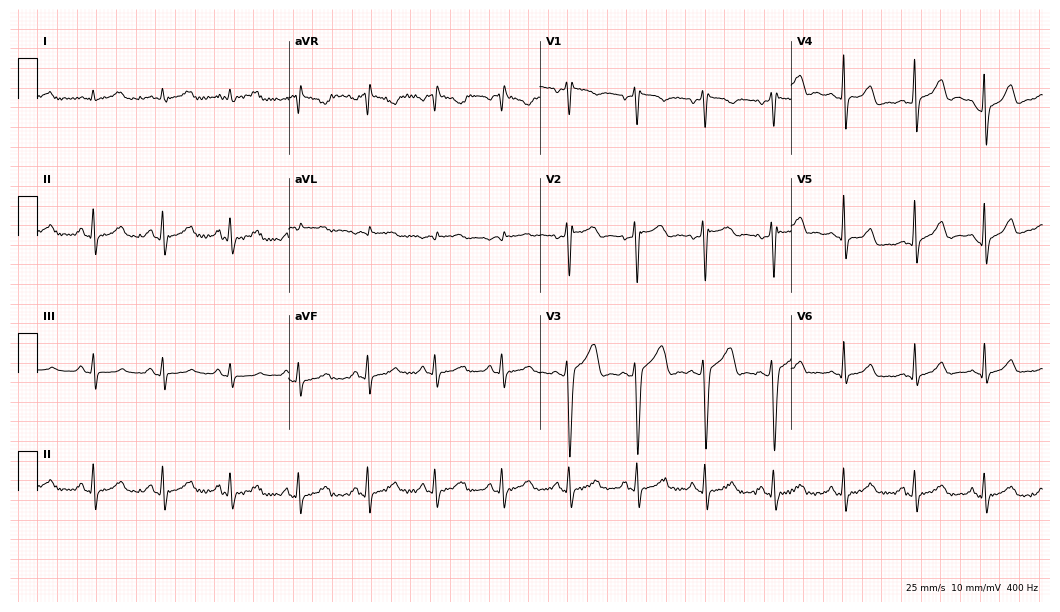
12-lead ECG (10.2-second recording at 400 Hz) from a 39-year-old male patient. Labelled as a normal ECG.